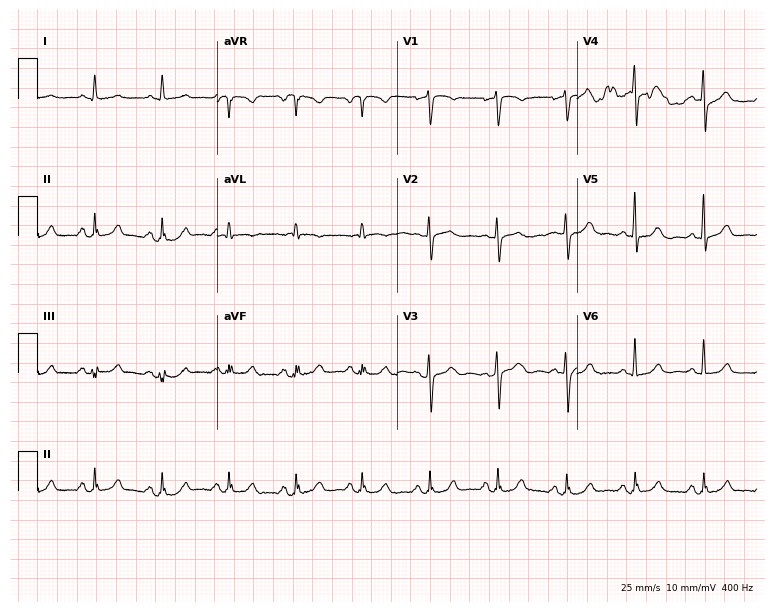
Electrocardiogram, a 65-year-old man. Of the six screened findings (first-degree AV block, right bundle branch block (RBBB), left bundle branch block (LBBB), sinus bradycardia, atrial fibrillation (AF), sinus tachycardia), none is recorded. Other findings, if any, are not listed.